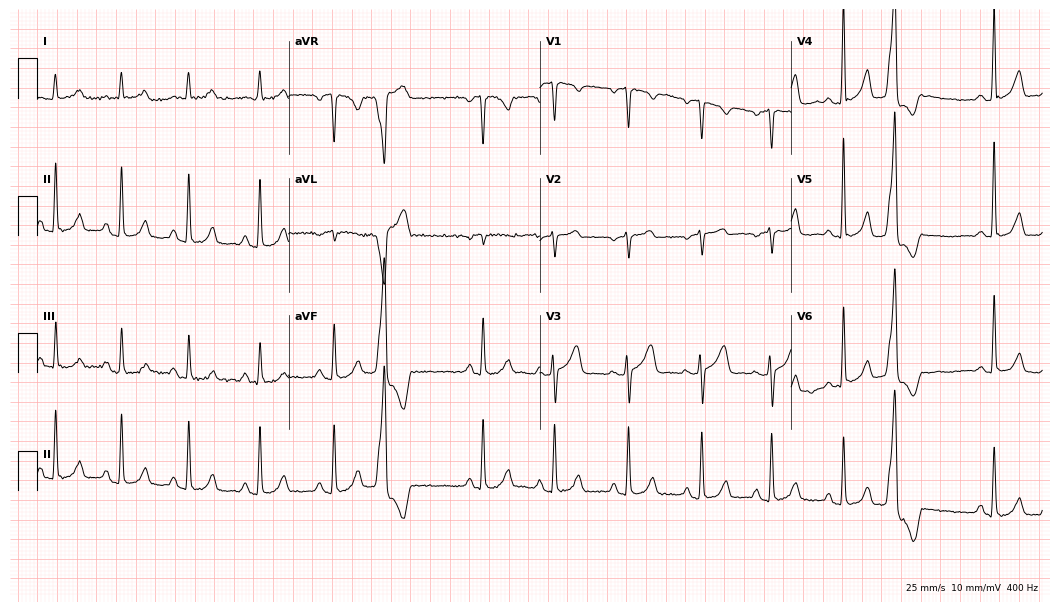
12-lead ECG from a 49-year-old woman (10.2-second recording at 400 Hz). No first-degree AV block, right bundle branch block (RBBB), left bundle branch block (LBBB), sinus bradycardia, atrial fibrillation (AF) or sinus tachycardia recorded for this tracing.